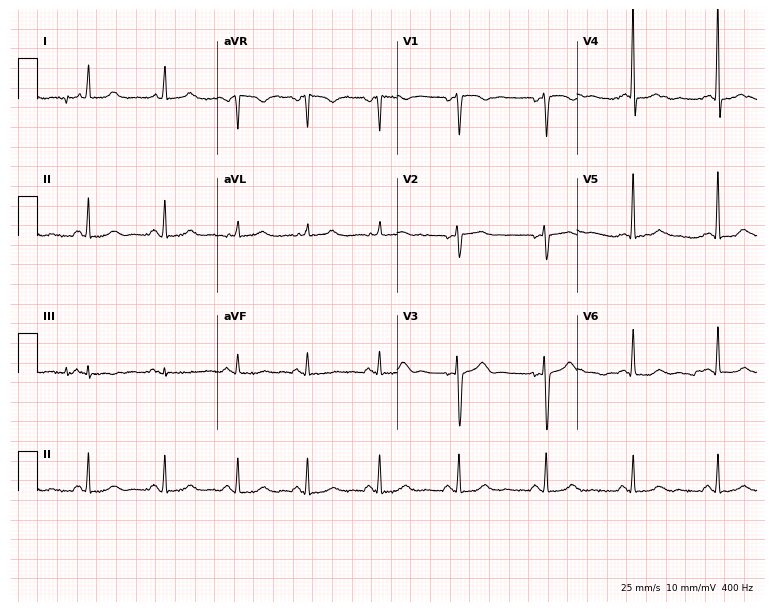
ECG — a 42-year-old female patient. Labelled as a normal ECG.